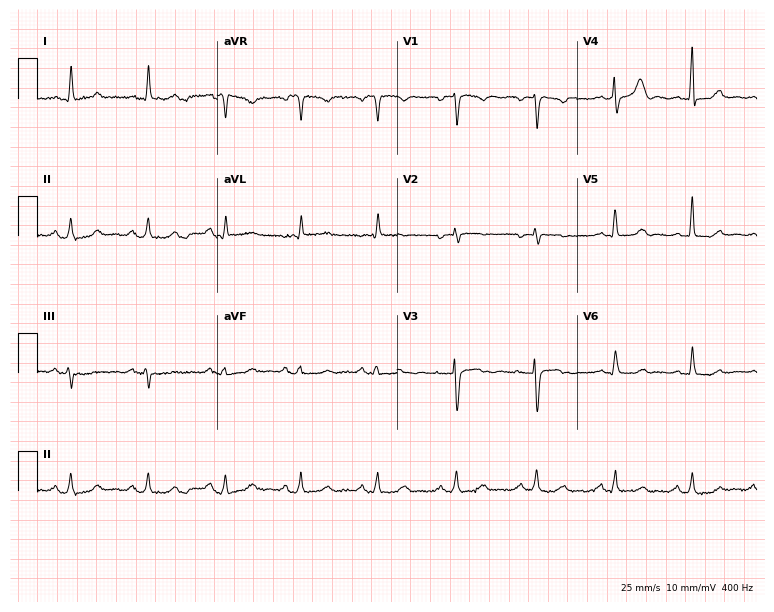
ECG — a female patient, 42 years old. Screened for six findings — first-degree AV block, right bundle branch block, left bundle branch block, sinus bradycardia, atrial fibrillation, sinus tachycardia — none is recorded. Findings outside these six are not listed.